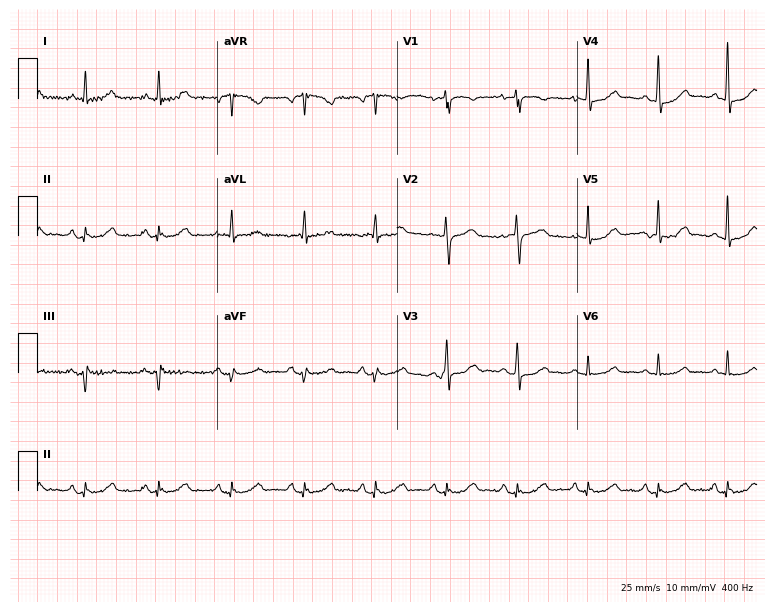
ECG — a female, 69 years old. Labelled as a normal ECG.